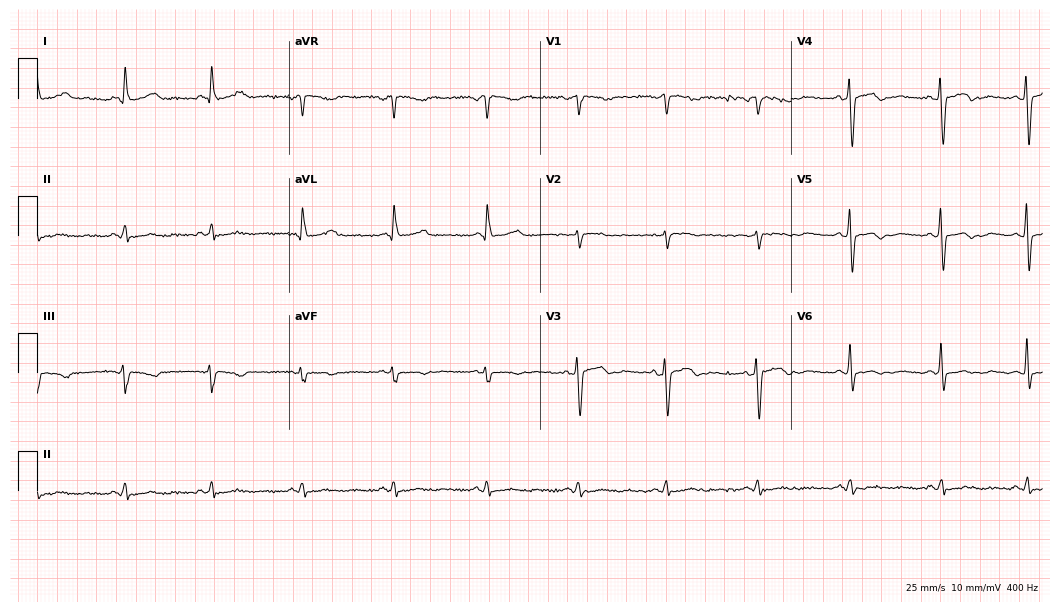
Resting 12-lead electrocardiogram. Patient: a woman, 60 years old. None of these six findings is recorded: first-degree AV block, right bundle branch block, left bundle branch block, sinus bradycardia, atrial fibrillation, sinus tachycardia.